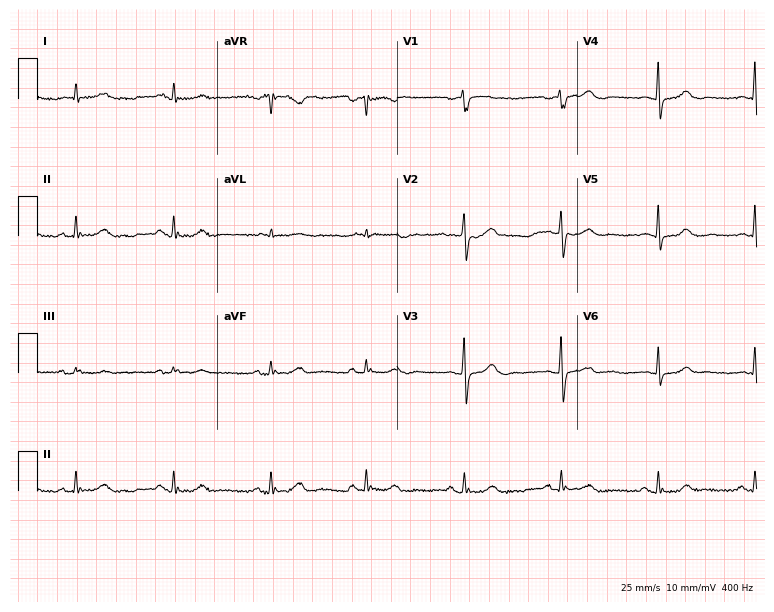
Resting 12-lead electrocardiogram (7.3-second recording at 400 Hz). Patient: a 78-year-old female. Read as a normal ECG.